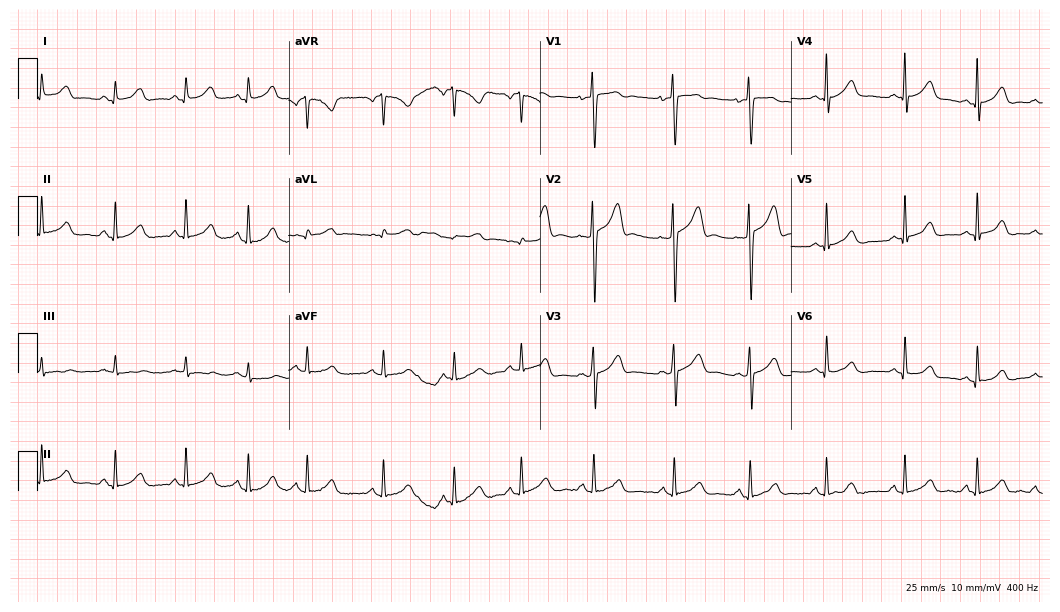
12-lead ECG from a female patient, 25 years old (10.2-second recording at 400 Hz). Recorded interpretation: within normal limits.